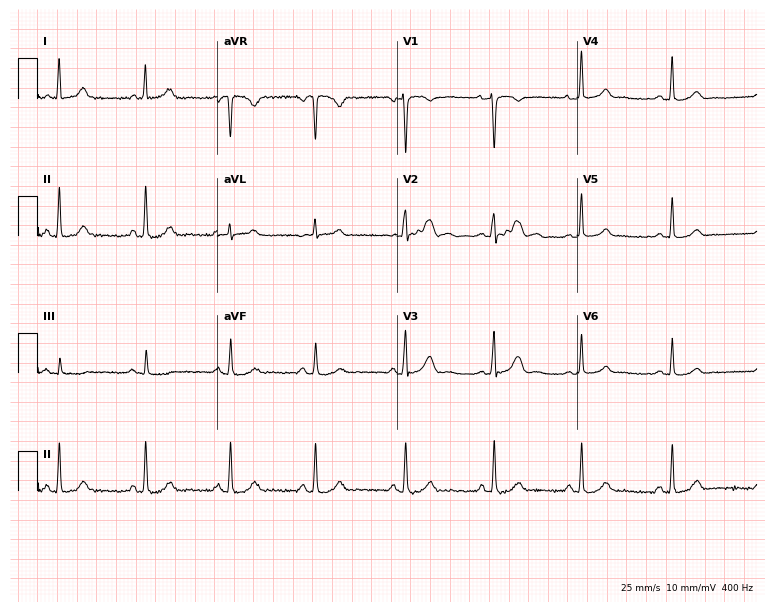
12-lead ECG from a 44-year-old male. Labelled as a normal ECG.